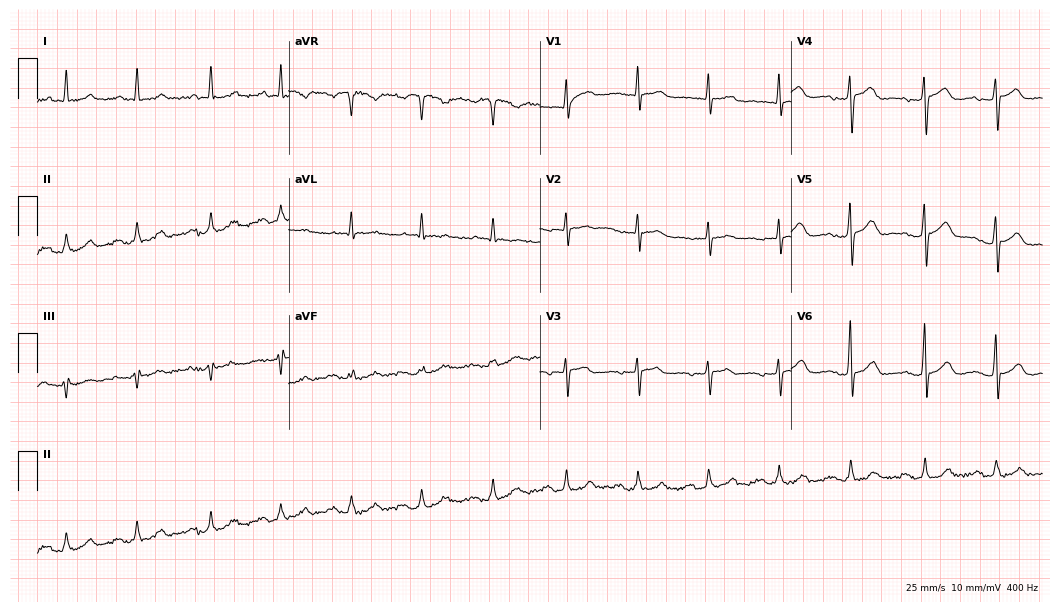
Standard 12-lead ECG recorded from an 82-year-old female (10.2-second recording at 400 Hz). Read as a normal ECG.